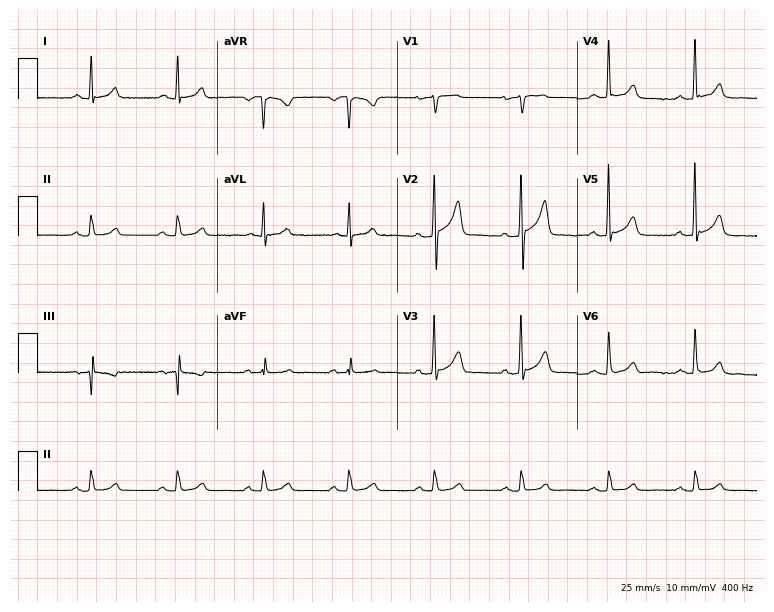
12-lead ECG from a male, 48 years old (7.3-second recording at 400 Hz). Recorded interpretation: within normal limits.